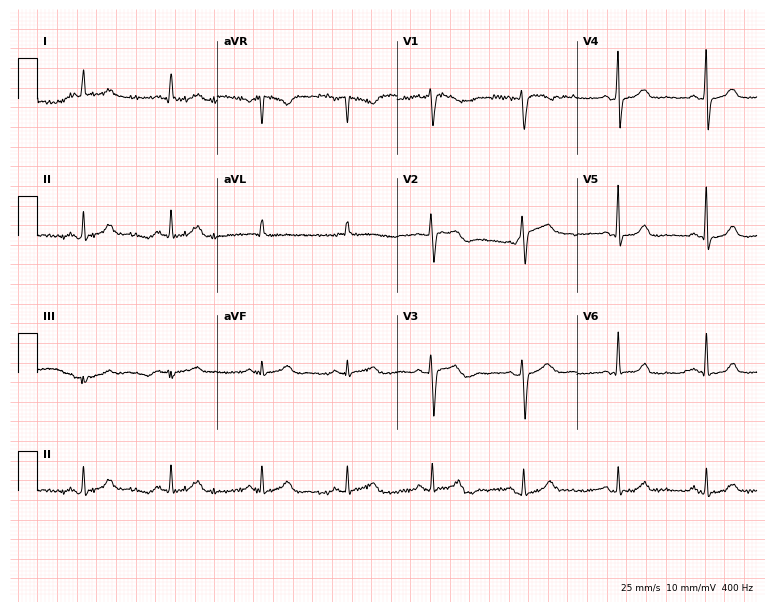
12-lead ECG from a woman, 34 years old (7.3-second recording at 400 Hz). No first-degree AV block, right bundle branch block (RBBB), left bundle branch block (LBBB), sinus bradycardia, atrial fibrillation (AF) or sinus tachycardia recorded for this tracing. Other findings, if any, are not listed.